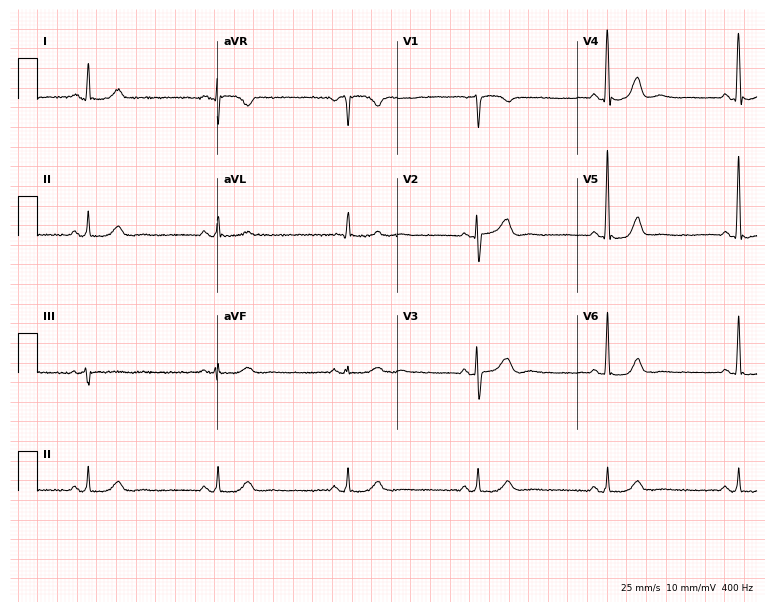
ECG (7.3-second recording at 400 Hz) — a male, 83 years old. Findings include sinus bradycardia (a sinus rate of 50 beats per minute or less).